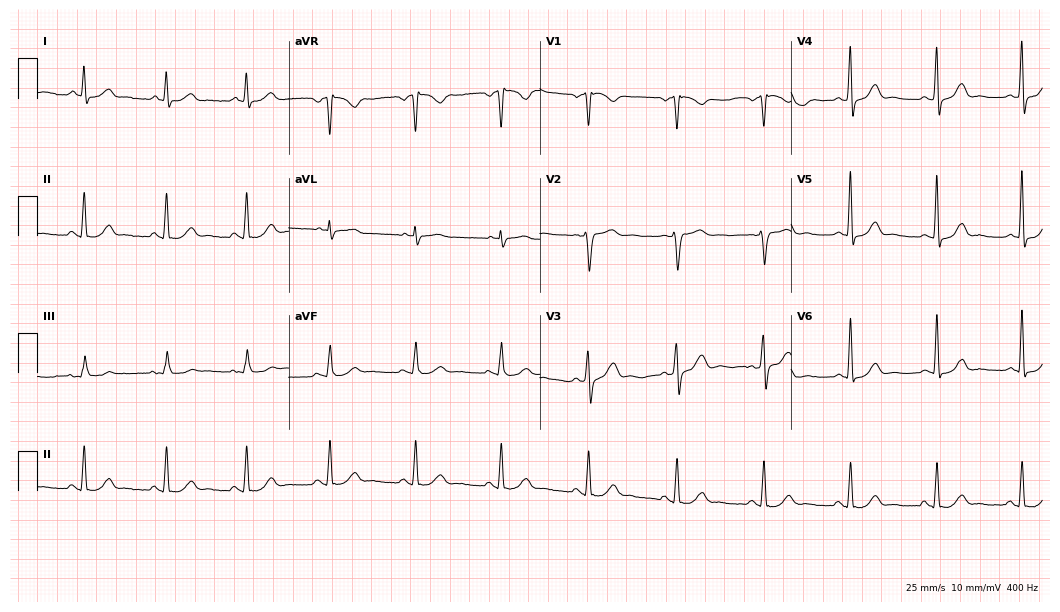
12-lead ECG from a man, 58 years old (10.2-second recording at 400 Hz). Recorded interpretation: within normal limits.